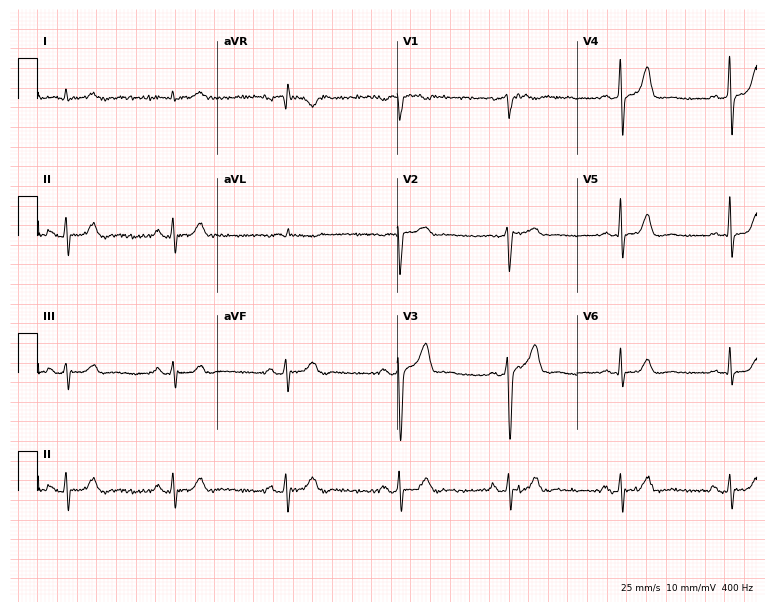
12-lead ECG from a 58-year-old male (7.3-second recording at 400 Hz). No first-degree AV block, right bundle branch block (RBBB), left bundle branch block (LBBB), sinus bradycardia, atrial fibrillation (AF) or sinus tachycardia recorded for this tracing. Only these six findings were labelled.